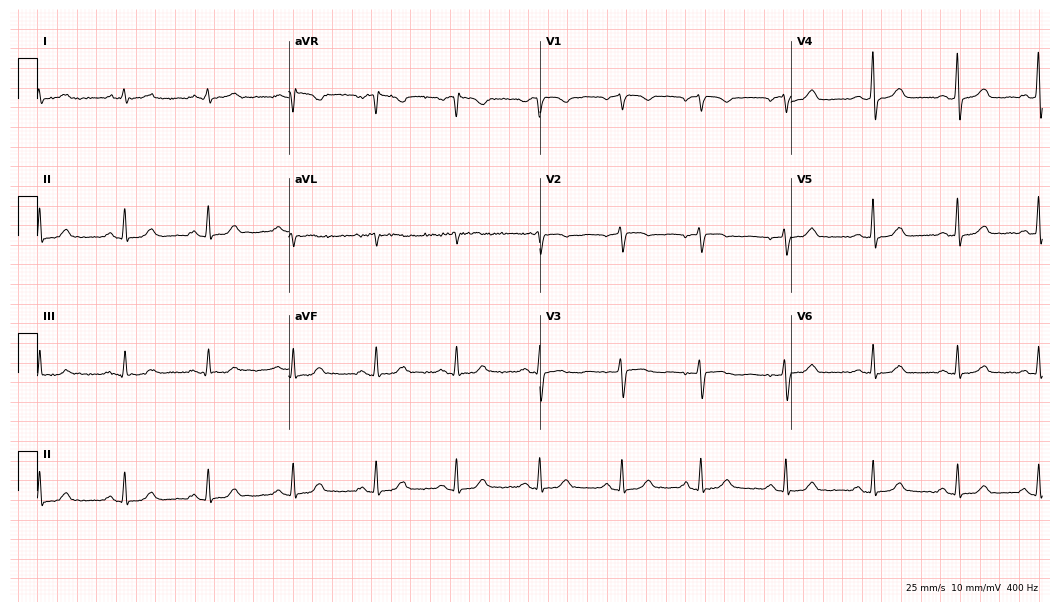
ECG (10.2-second recording at 400 Hz) — a 58-year-old female. Labelled as a normal ECG.